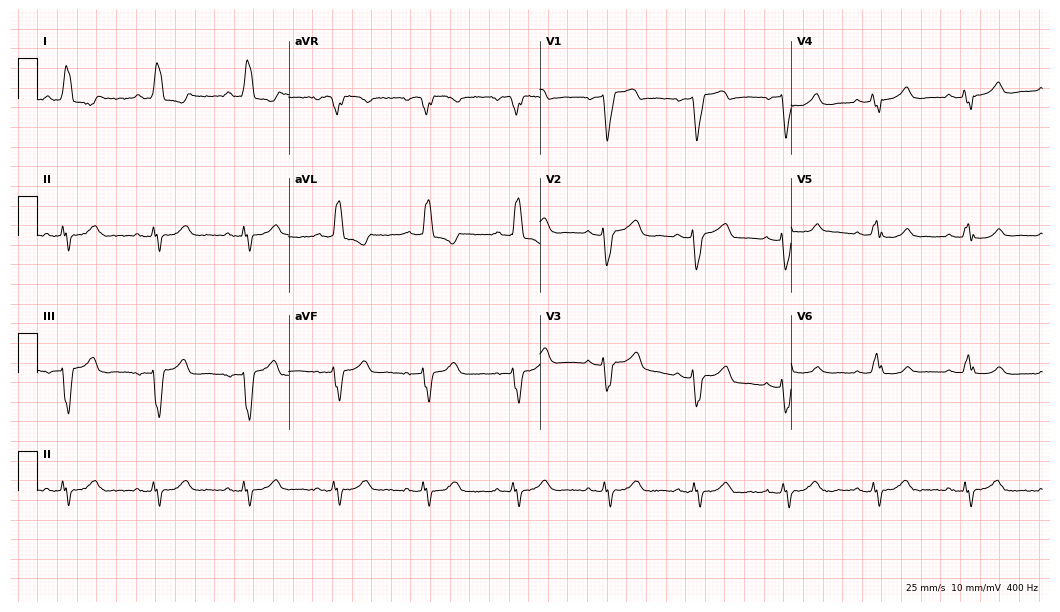
Standard 12-lead ECG recorded from a female patient, 69 years old (10.2-second recording at 400 Hz). The tracing shows left bundle branch block.